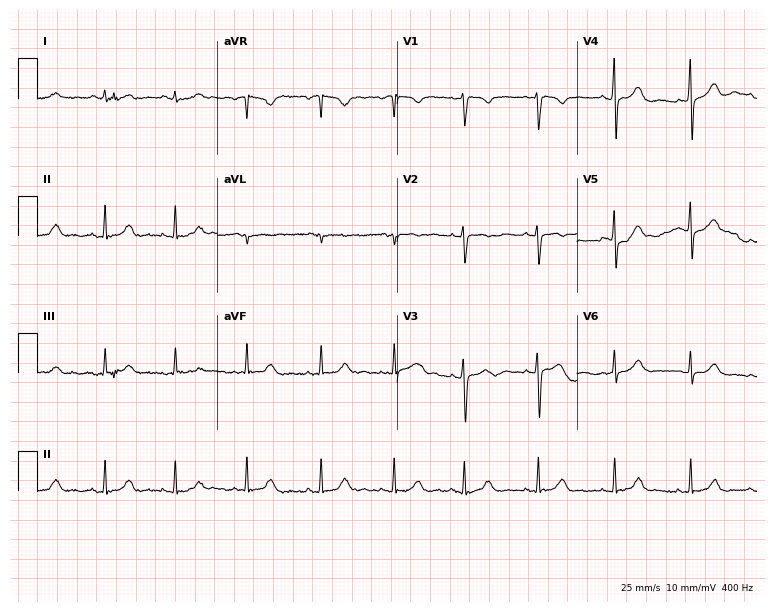
12-lead ECG from a woman, 21 years old. No first-degree AV block, right bundle branch block (RBBB), left bundle branch block (LBBB), sinus bradycardia, atrial fibrillation (AF) or sinus tachycardia recorded for this tracing.